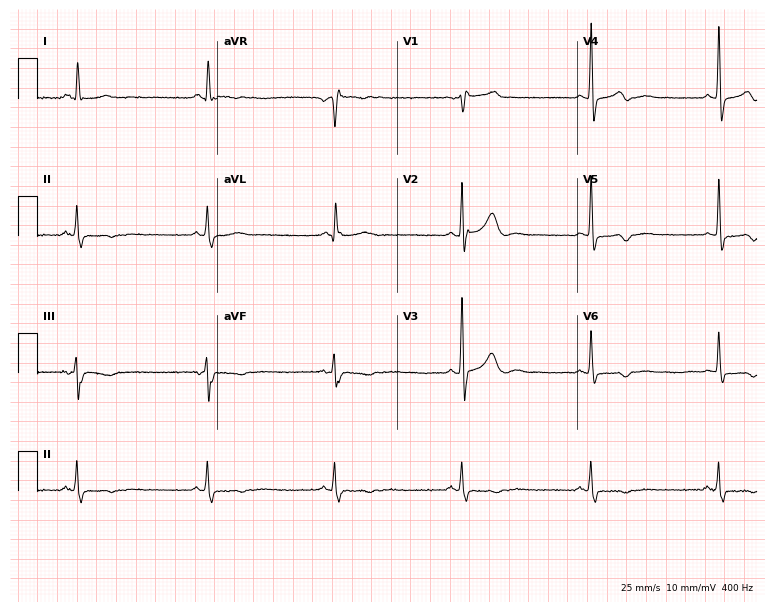
Resting 12-lead electrocardiogram. Patient: a 66-year-old male. The tracing shows sinus bradycardia (a sinus rate of 50 beats per minute or less).